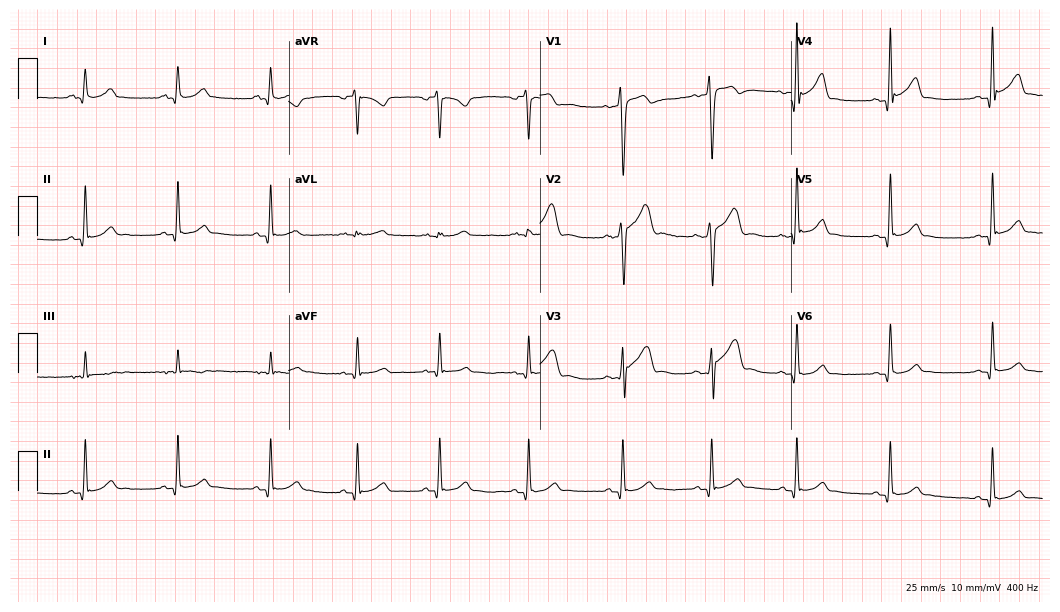
Resting 12-lead electrocardiogram (10.2-second recording at 400 Hz). Patient: a 20-year-old male. Read as a normal ECG.